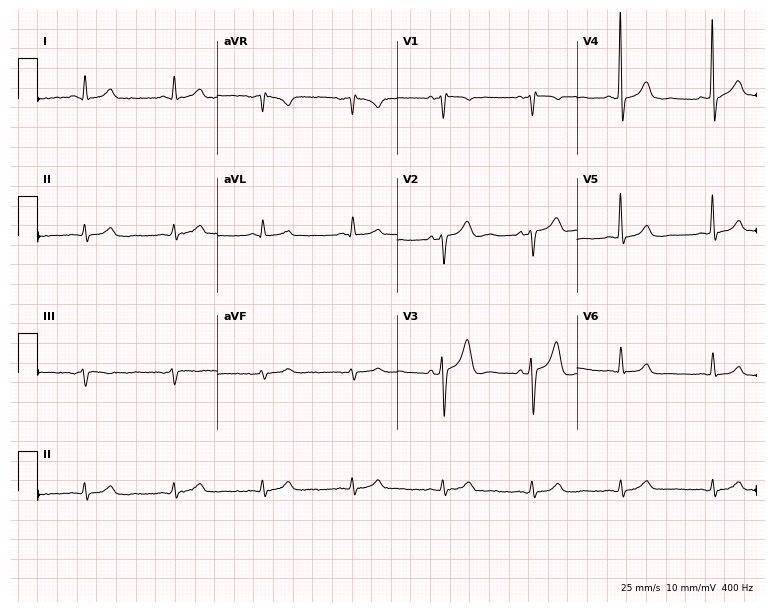
Resting 12-lead electrocardiogram (7.3-second recording at 400 Hz). Patient: a 77-year-old man. None of these six findings is recorded: first-degree AV block, right bundle branch block, left bundle branch block, sinus bradycardia, atrial fibrillation, sinus tachycardia.